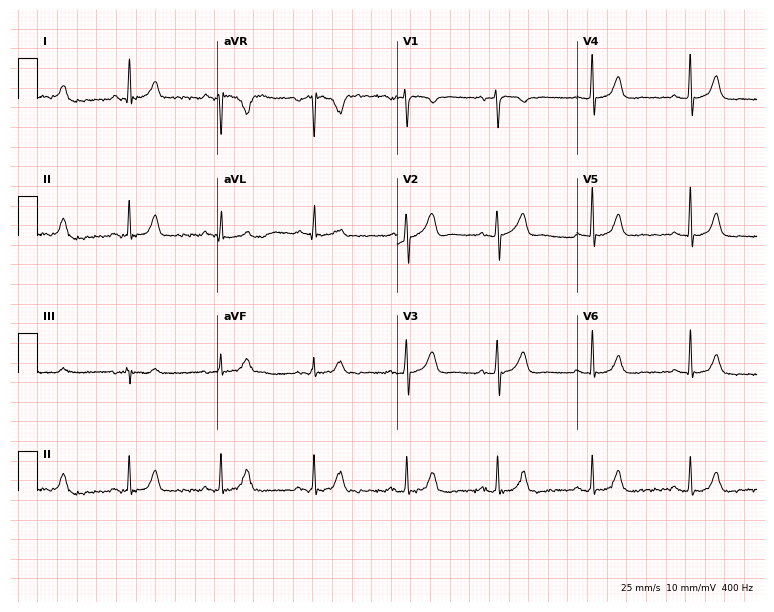
12-lead ECG from a 48-year-old woman (7.3-second recording at 400 Hz). Recorded interpretation: within normal limits.